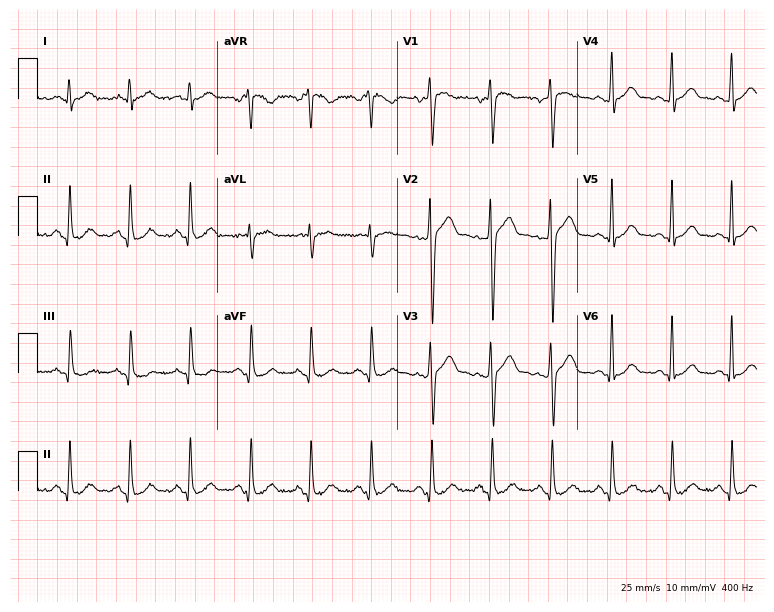
ECG (7.3-second recording at 400 Hz) — a male, 47 years old. Labelled as a normal ECG.